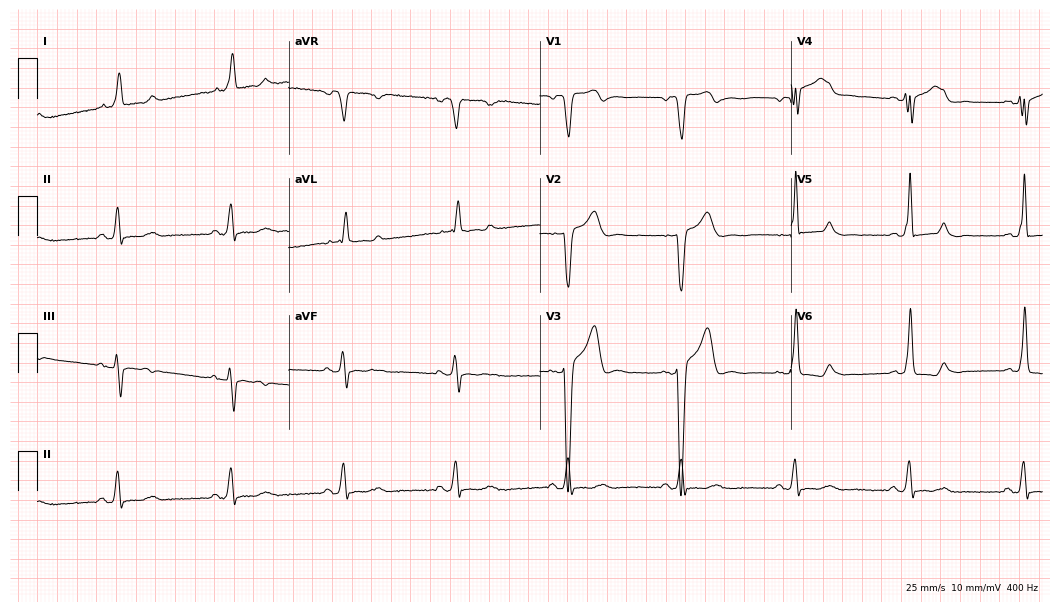
Electrocardiogram (10.2-second recording at 400 Hz), an 80-year-old male patient. Interpretation includes left bundle branch block (LBBB).